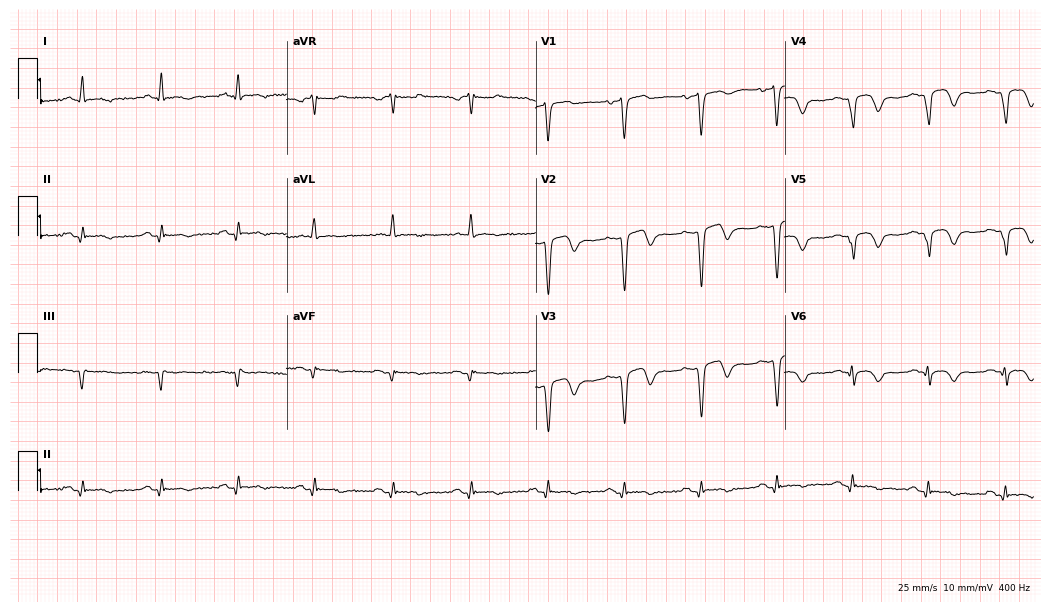
Electrocardiogram, a 70-year-old male. Of the six screened findings (first-degree AV block, right bundle branch block, left bundle branch block, sinus bradycardia, atrial fibrillation, sinus tachycardia), none is recorded. Only these six findings were labelled.